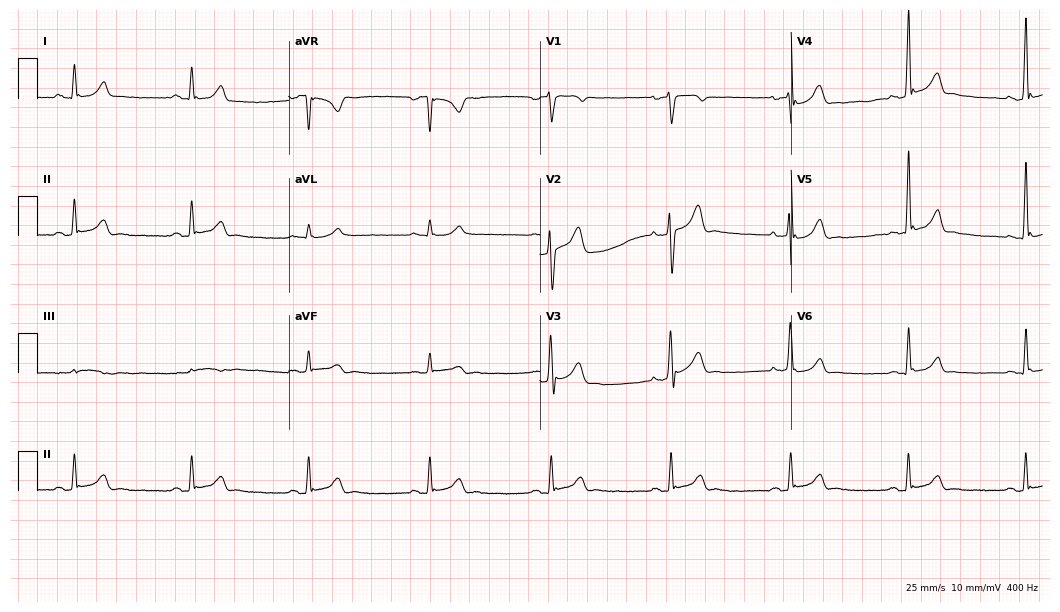
Standard 12-lead ECG recorded from a 36-year-old man (10.2-second recording at 400 Hz). The tracing shows sinus bradycardia (a sinus rate of 50 beats per minute or less).